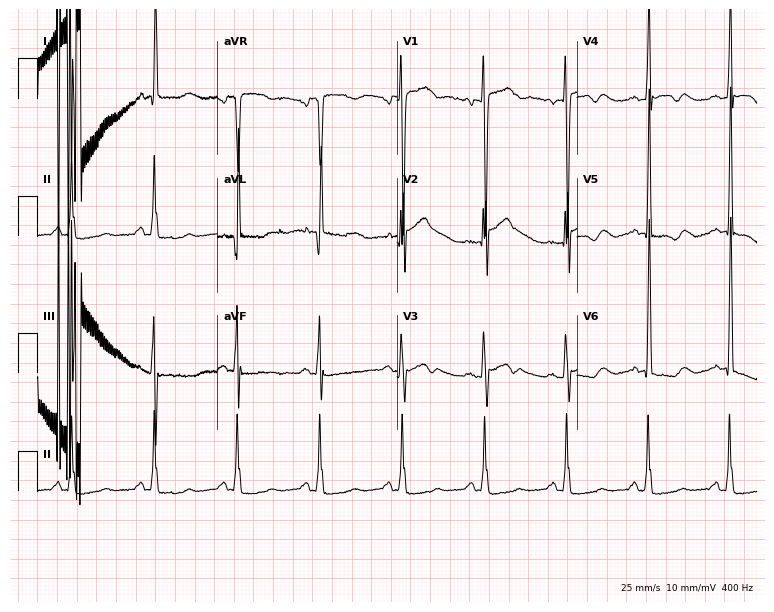
Electrocardiogram, a 65-year-old male patient. Of the six screened findings (first-degree AV block, right bundle branch block, left bundle branch block, sinus bradycardia, atrial fibrillation, sinus tachycardia), none is recorded. Only these six findings were labelled.